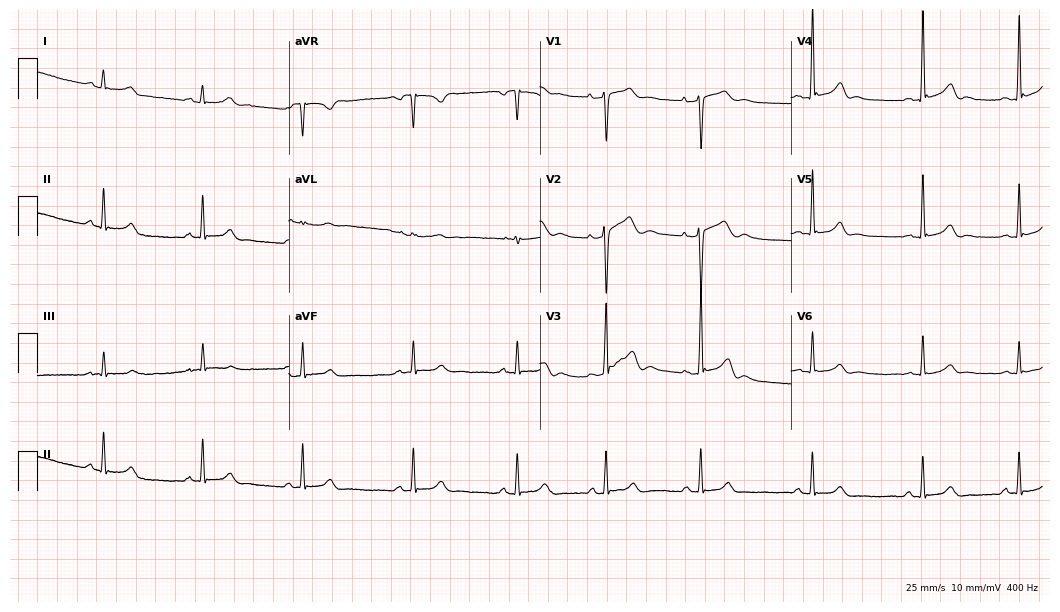
12-lead ECG from a 27-year-old female patient. Screened for six findings — first-degree AV block, right bundle branch block, left bundle branch block, sinus bradycardia, atrial fibrillation, sinus tachycardia — none is recorded.